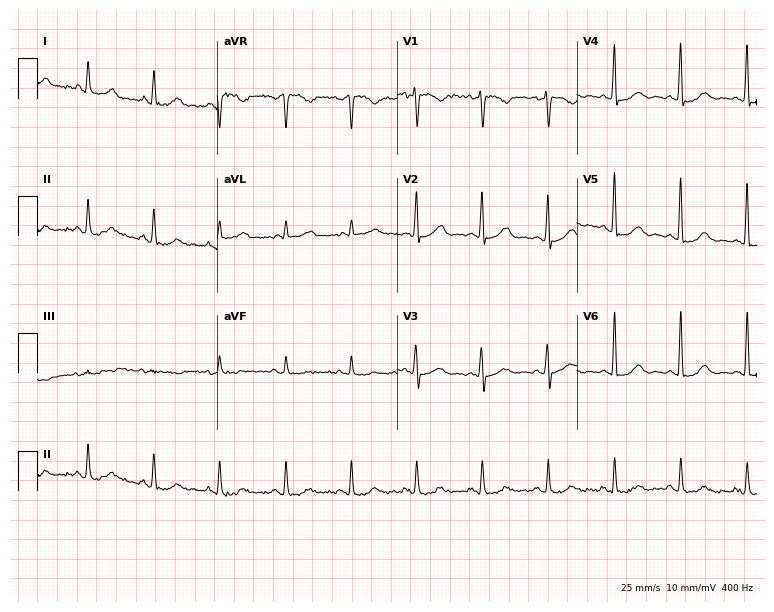
12-lead ECG (7.3-second recording at 400 Hz) from a female, 61 years old. Screened for six findings — first-degree AV block, right bundle branch block, left bundle branch block, sinus bradycardia, atrial fibrillation, sinus tachycardia — none is recorded.